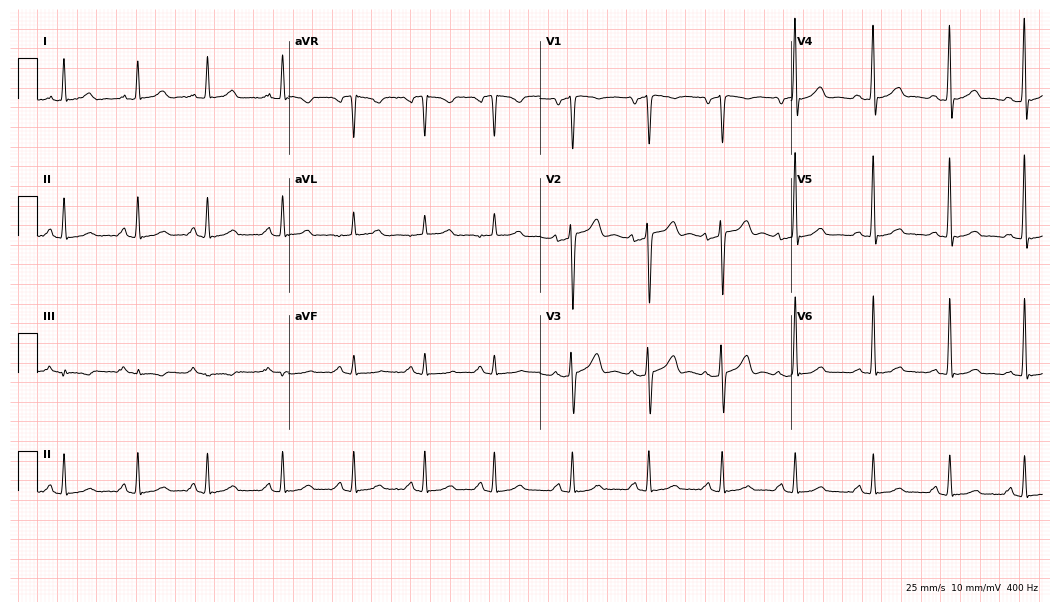
ECG — a male, 33 years old. Labelled as a normal ECG.